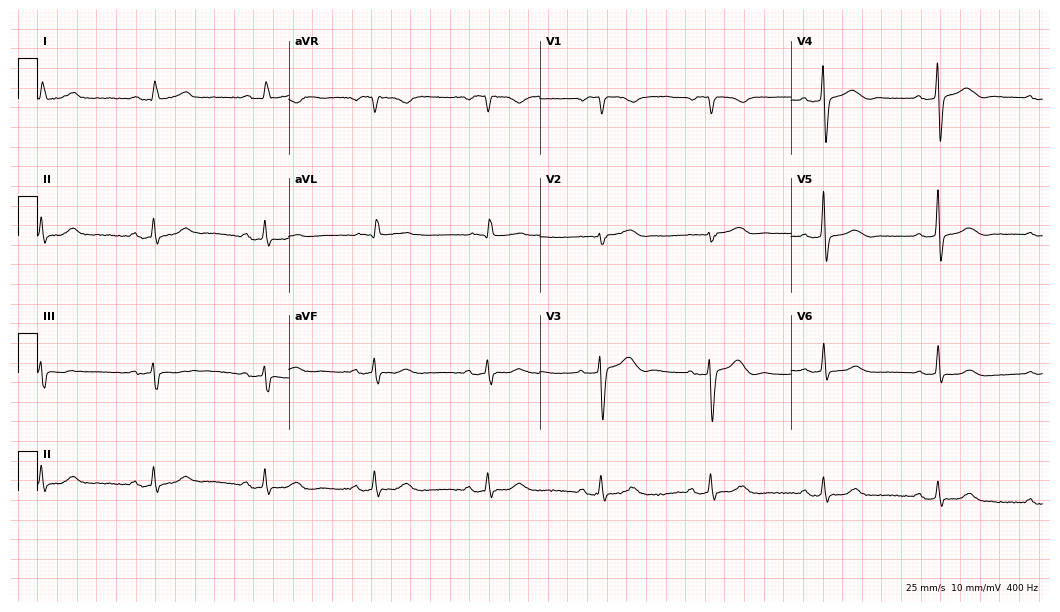
12-lead ECG from a 70-year-old woman. Screened for six findings — first-degree AV block, right bundle branch block, left bundle branch block, sinus bradycardia, atrial fibrillation, sinus tachycardia — none is recorded.